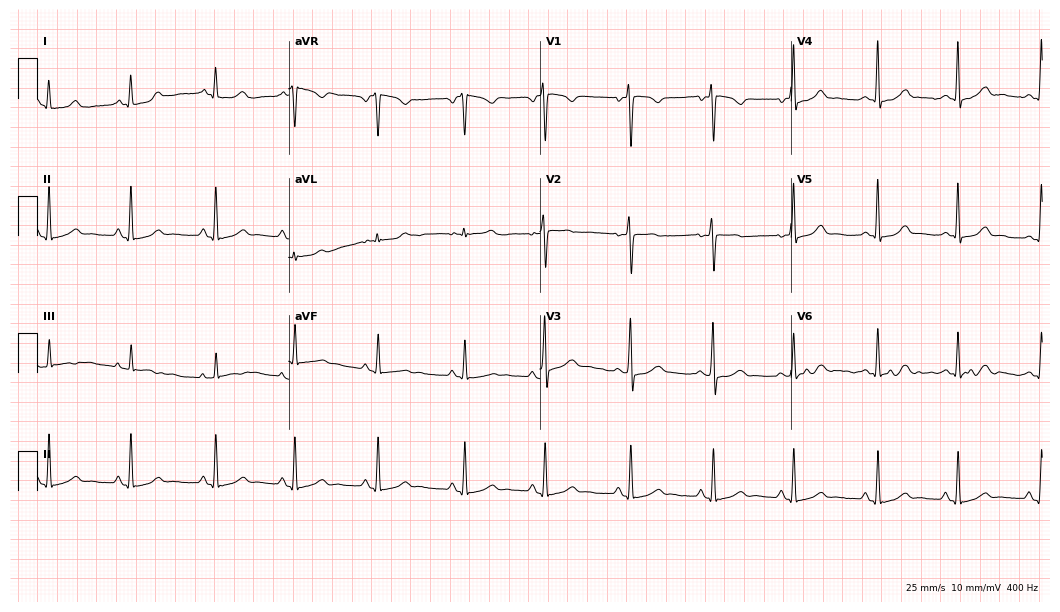
Resting 12-lead electrocardiogram. Patient: a 25-year-old woman. Read as a normal ECG.